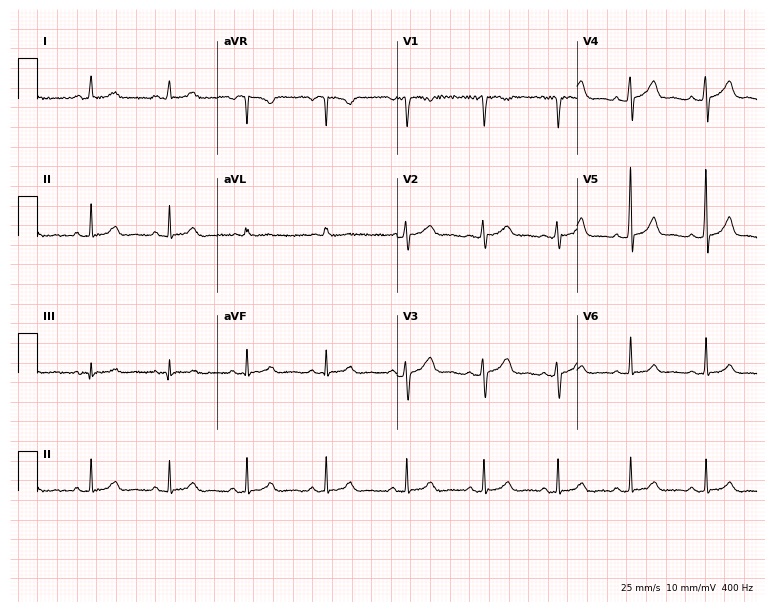
Standard 12-lead ECG recorded from a 34-year-old female patient (7.3-second recording at 400 Hz). Read as a normal ECG.